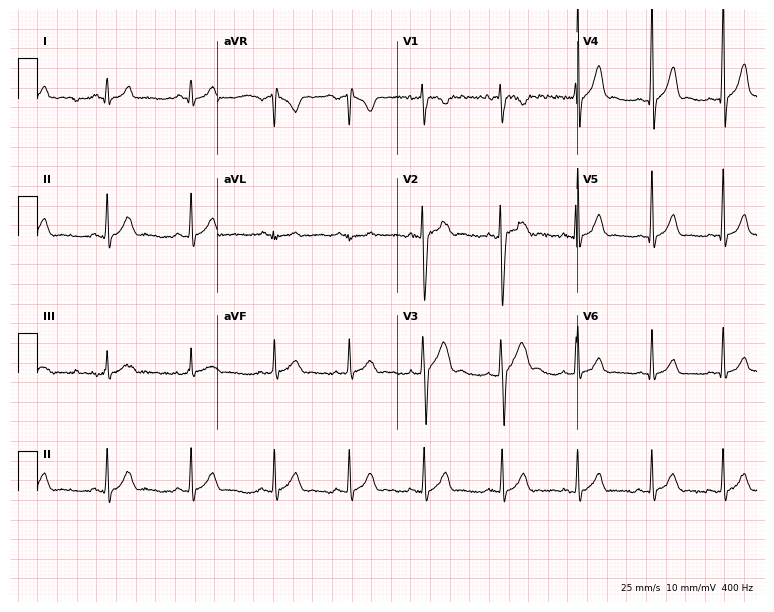
Standard 12-lead ECG recorded from a man, 17 years old (7.3-second recording at 400 Hz). None of these six findings is recorded: first-degree AV block, right bundle branch block (RBBB), left bundle branch block (LBBB), sinus bradycardia, atrial fibrillation (AF), sinus tachycardia. Other findings, if any, are not listed.